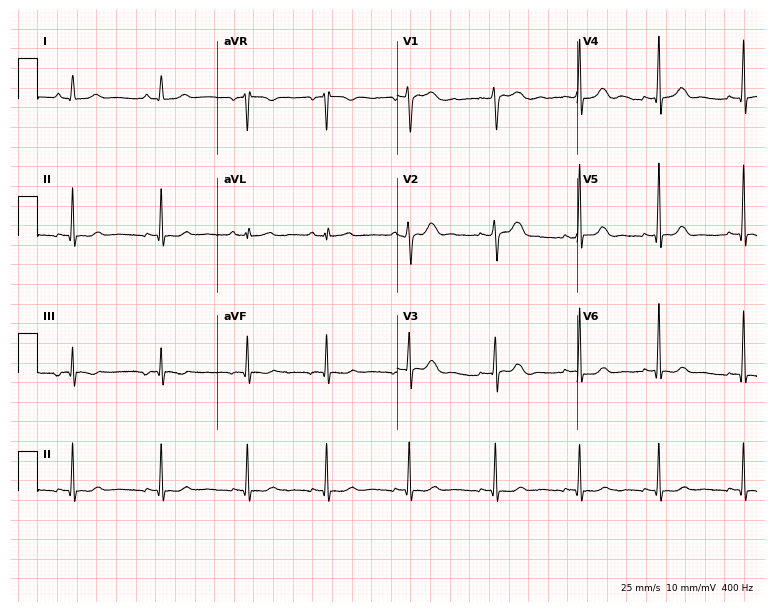
Resting 12-lead electrocardiogram. Patient: a 25-year-old woman. Read as a normal ECG.